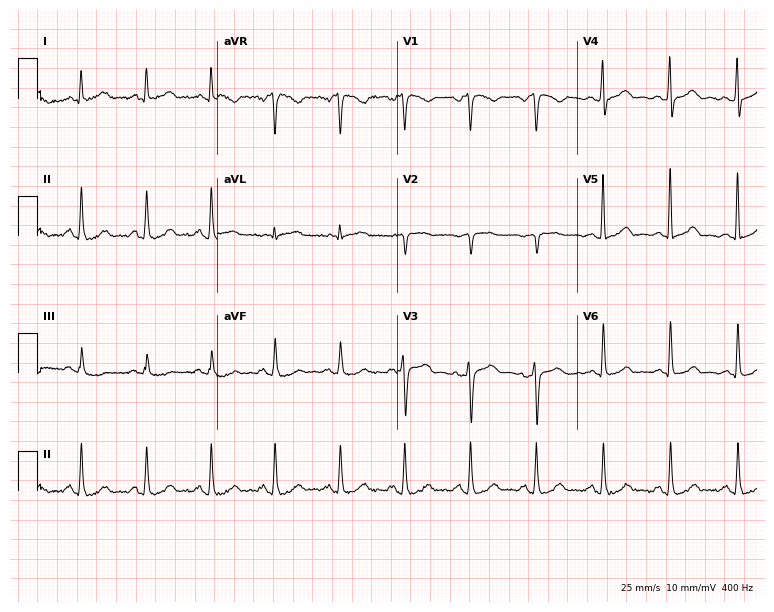
ECG (7.3-second recording at 400 Hz) — a 45-year-old female. Labelled as a normal ECG.